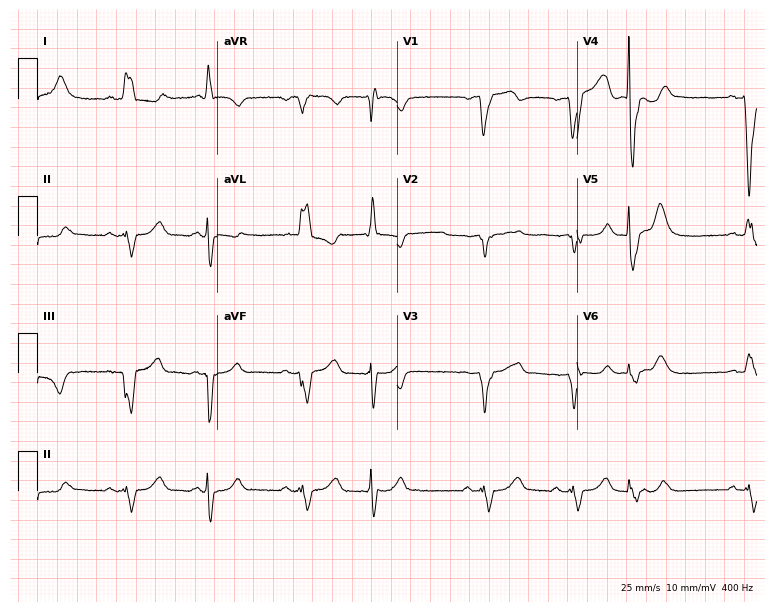
Resting 12-lead electrocardiogram. Patient: a female, 70 years old. None of these six findings is recorded: first-degree AV block, right bundle branch block, left bundle branch block, sinus bradycardia, atrial fibrillation, sinus tachycardia.